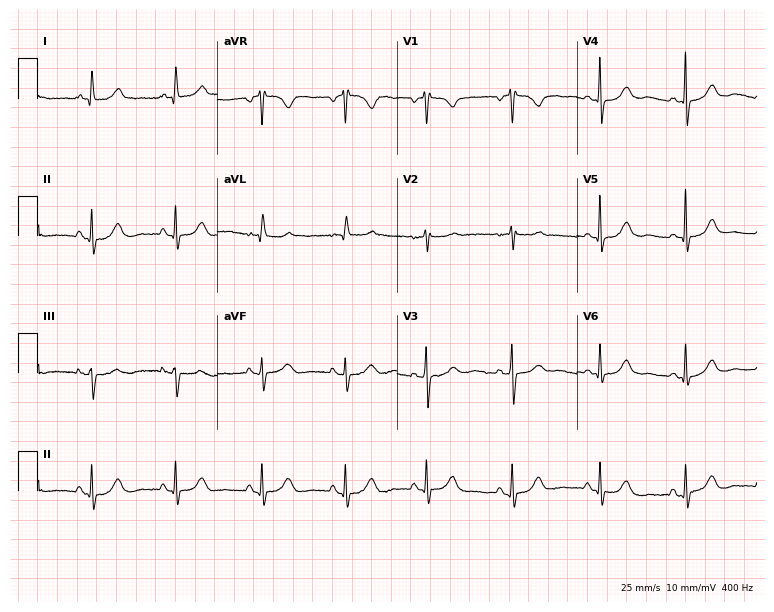
ECG — a female, 69 years old. Labelled as a normal ECG.